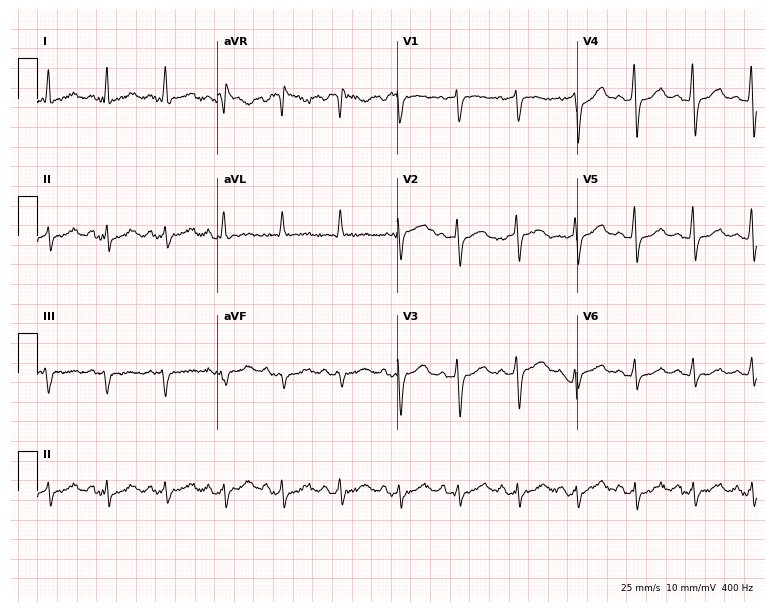
Standard 12-lead ECG recorded from a woman, 58 years old (7.3-second recording at 400 Hz). None of these six findings is recorded: first-degree AV block, right bundle branch block (RBBB), left bundle branch block (LBBB), sinus bradycardia, atrial fibrillation (AF), sinus tachycardia. Other findings, if any, are not listed.